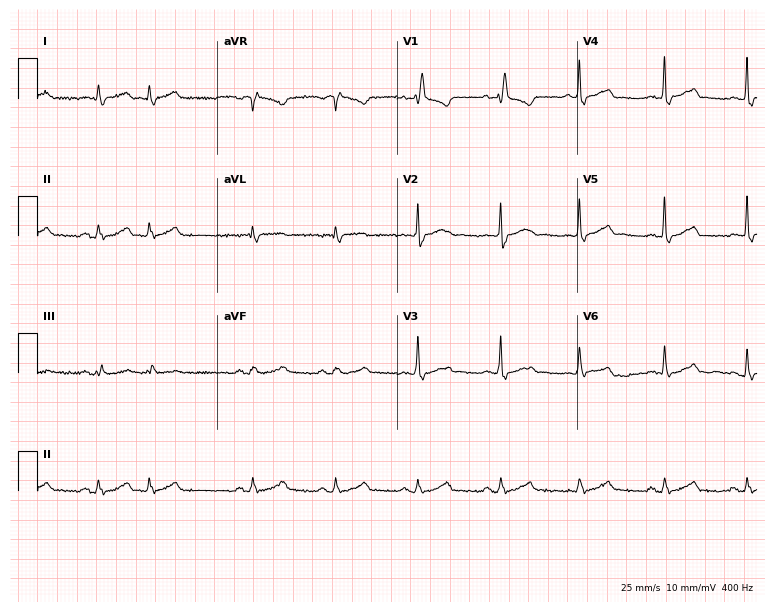
12-lead ECG (7.3-second recording at 400 Hz) from a male patient, 70 years old. Screened for six findings — first-degree AV block, right bundle branch block, left bundle branch block, sinus bradycardia, atrial fibrillation, sinus tachycardia — none is recorded. Only these six findings were labelled.